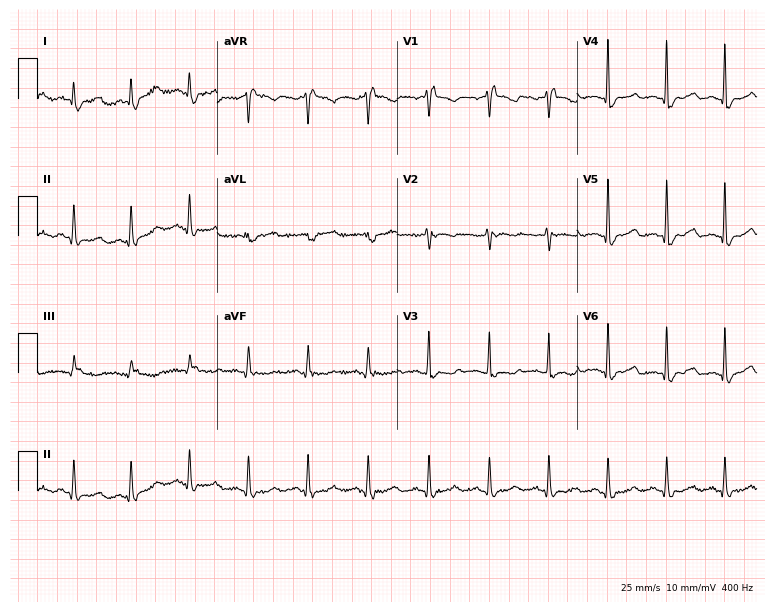
12-lead ECG from a 65-year-old woman. No first-degree AV block, right bundle branch block, left bundle branch block, sinus bradycardia, atrial fibrillation or sinus tachycardia recorded for this tracing. Findings outside these six are not listed.